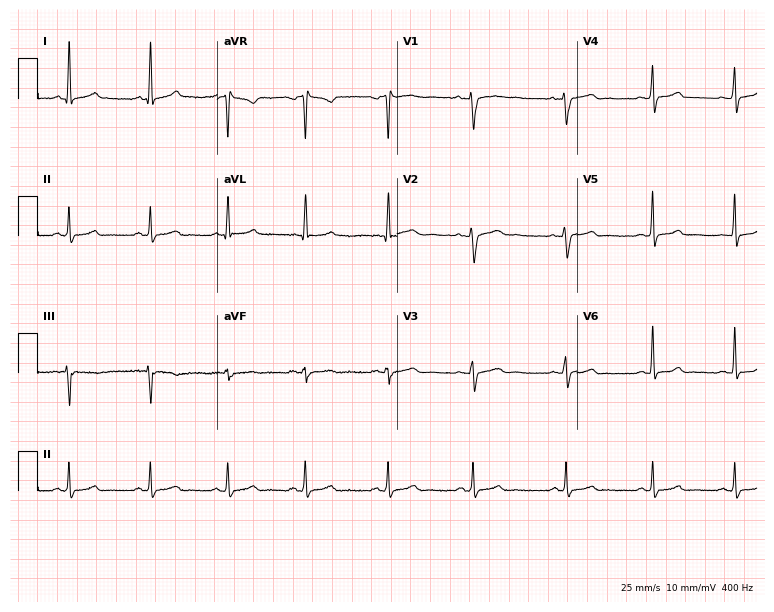
ECG — a woman, 29 years old. Labelled as a normal ECG.